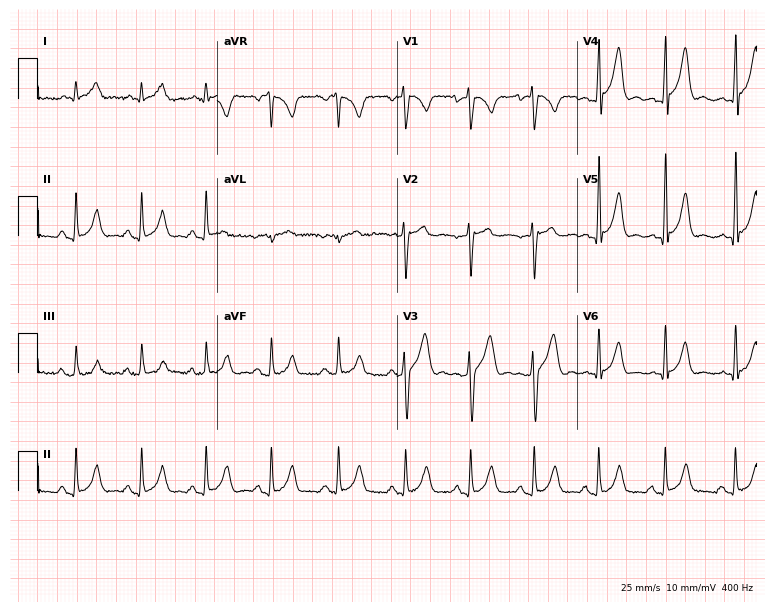
Standard 12-lead ECG recorded from a 29-year-old male (7.3-second recording at 400 Hz). None of these six findings is recorded: first-degree AV block, right bundle branch block, left bundle branch block, sinus bradycardia, atrial fibrillation, sinus tachycardia.